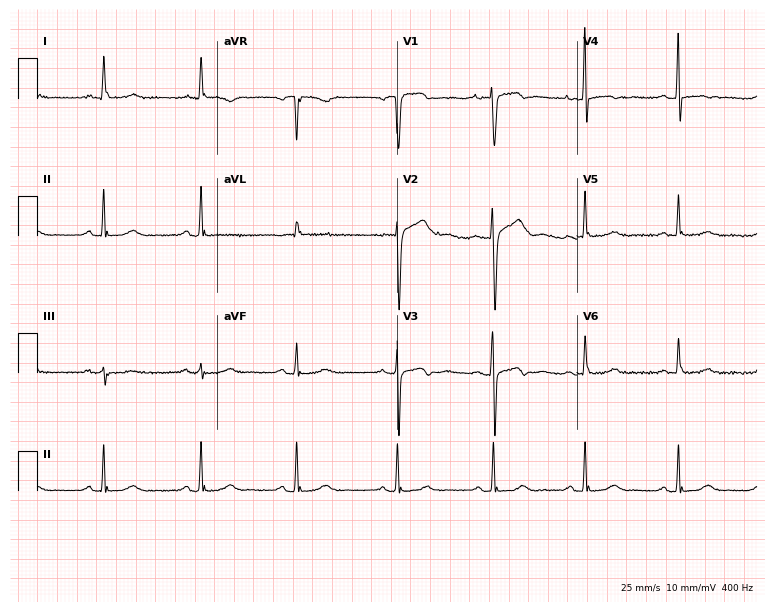
12-lead ECG (7.3-second recording at 400 Hz) from an 82-year-old female. Screened for six findings — first-degree AV block, right bundle branch block, left bundle branch block, sinus bradycardia, atrial fibrillation, sinus tachycardia — none is recorded.